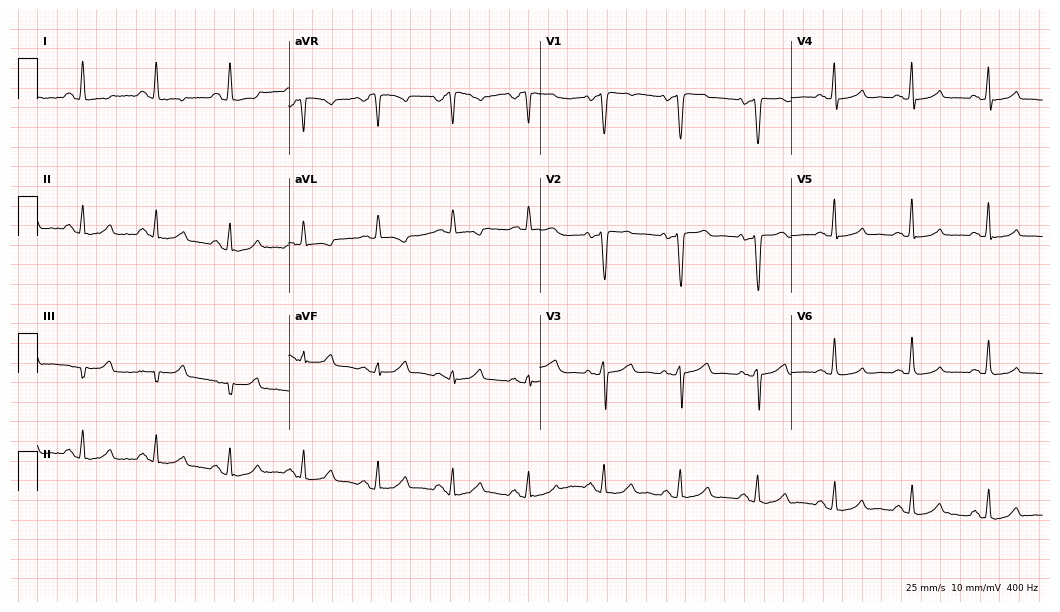
Electrocardiogram, a 63-year-old woman. Of the six screened findings (first-degree AV block, right bundle branch block, left bundle branch block, sinus bradycardia, atrial fibrillation, sinus tachycardia), none is recorded.